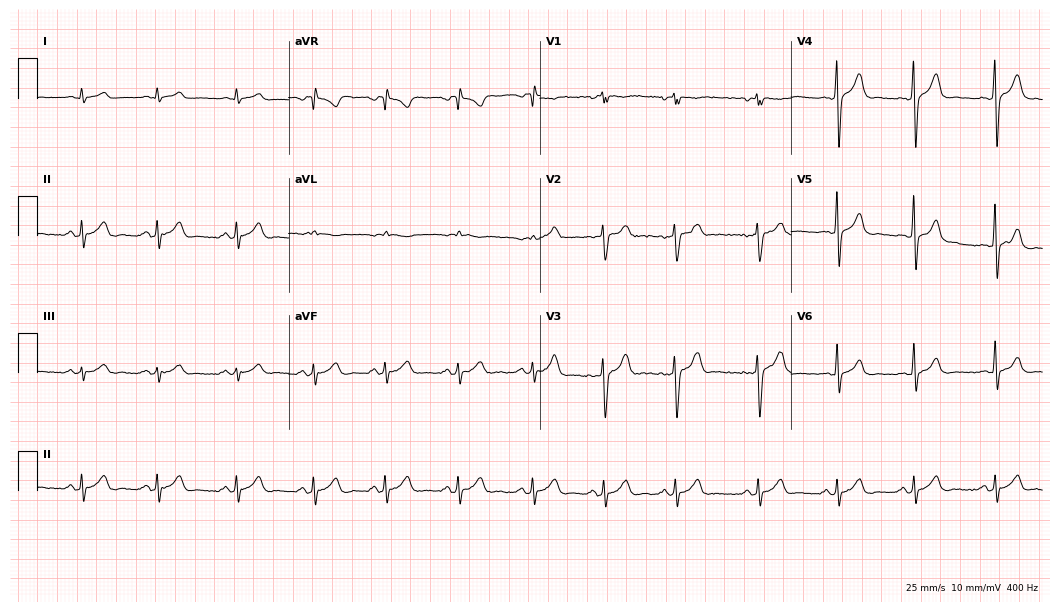
12-lead ECG from an 18-year-old male patient. Labelled as a normal ECG.